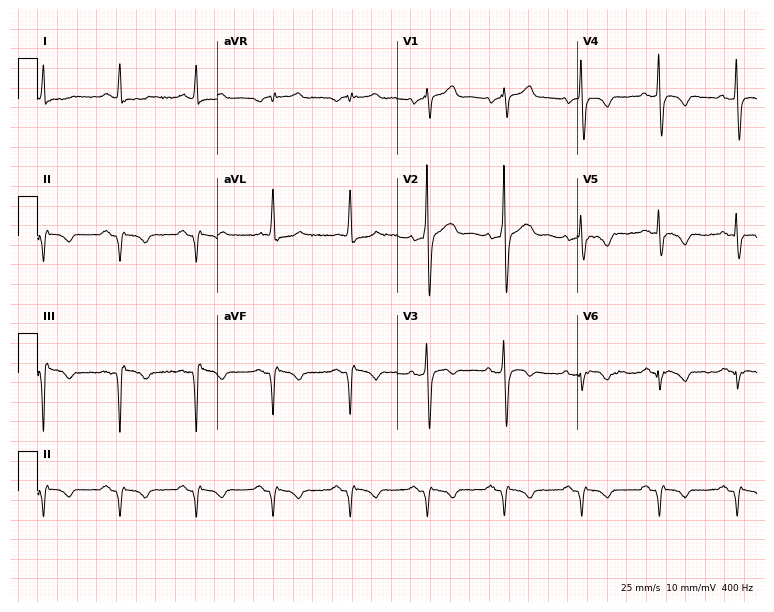
12-lead ECG from a 67-year-old man. No first-degree AV block, right bundle branch block (RBBB), left bundle branch block (LBBB), sinus bradycardia, atrial fibrillation (AF) or sinus tachycardia recorded for this tracing. Findings outside these six are not listed.